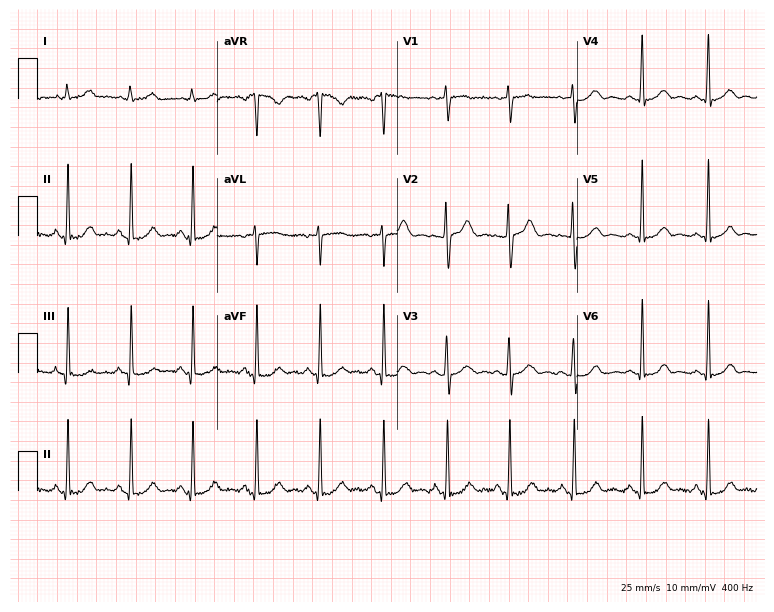
12-lead ECG from a 23-year-old female. Screened for six findings — first-degree AV block, right bundle branch block, left bundle branch block, sinus bradycardia, atrial fibrillation, sinus tachycardia — none is recorded.